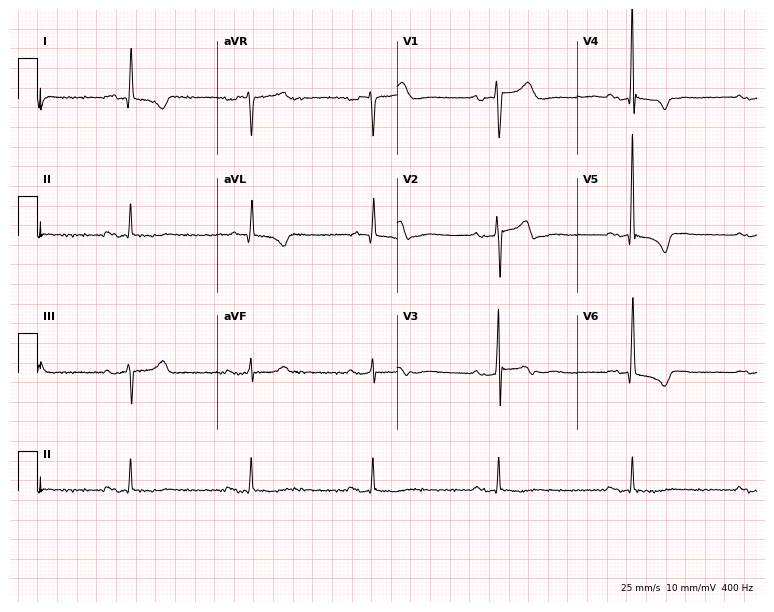
Electrocardiogram, a male patient, 56 years old. Of the six screened findings (first-degree AV block, right bundle branch block, left bundle branch block, sinus bradycardia, atrial fibrillation, sinus tachycardia), none is recorded. Other findings, if any, are not listed.